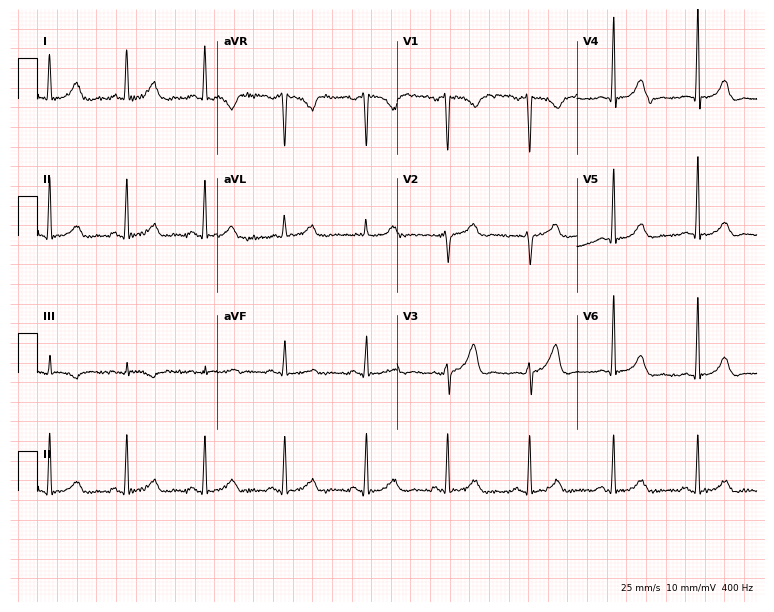
12-lead ECG from a female, 53 years old. Labelled as a normal ECG.